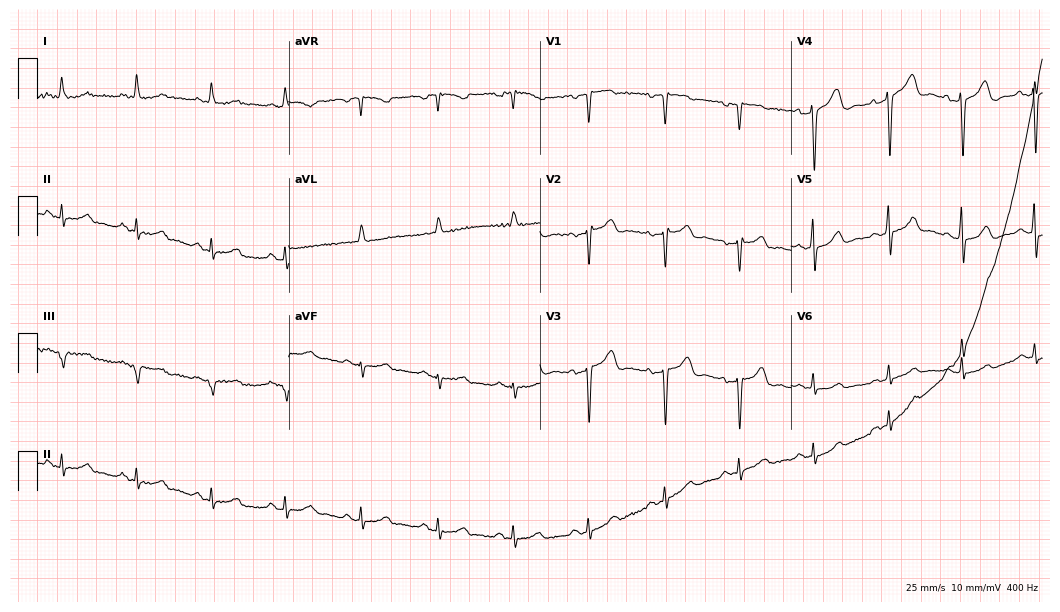
Standard 12-lead ECG recorded from a female, 46 years old (10.2-second recording at 400 Hz). None of these six findings is recorded: first-degree AV block, right bundle branch block, left bundle branch block, sinus bradycardia, atrial fibrillation, sinus tachycardia. Findings outside these six are not listed.